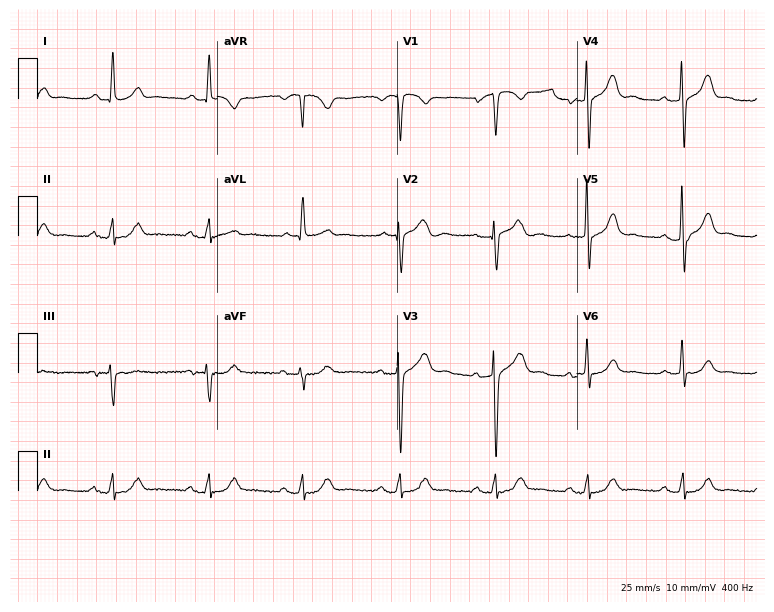
12-lead ECG from a male patient, 52 years old. Labelled as a normal ECG.